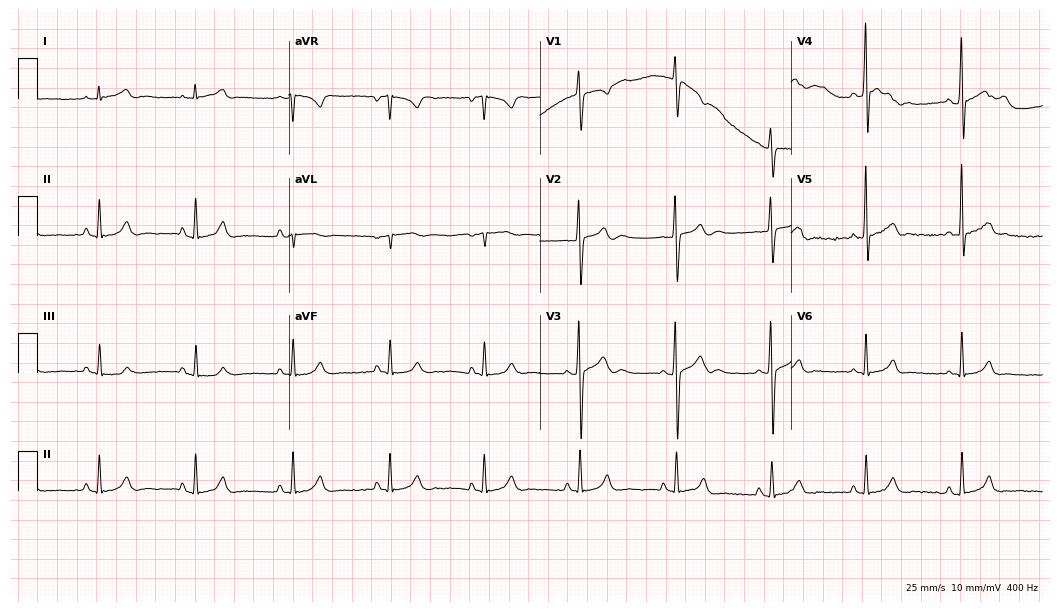
Electrocardiogram (10.2-second recording at 400 Hz), a 23-year-old male. Of the six screened findings (first-degree AV block, right bundle branch block, left bundle branch block, sinus bradycardia, atrial fibrillation, sinus tachycardia), none is recorded.